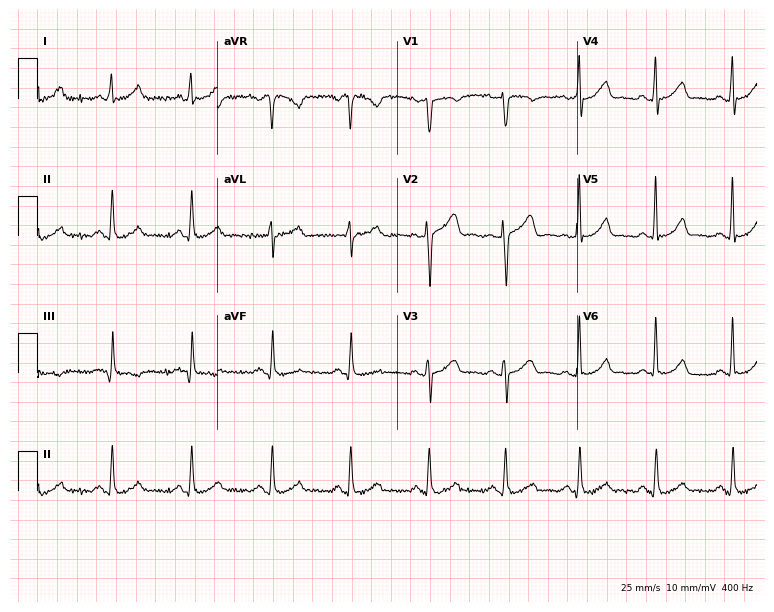
Resting 12-lead electrocardiogram (7.3-second recording at 400 Hz). Patient: a female, 36 years old. Read as a normal ECG.